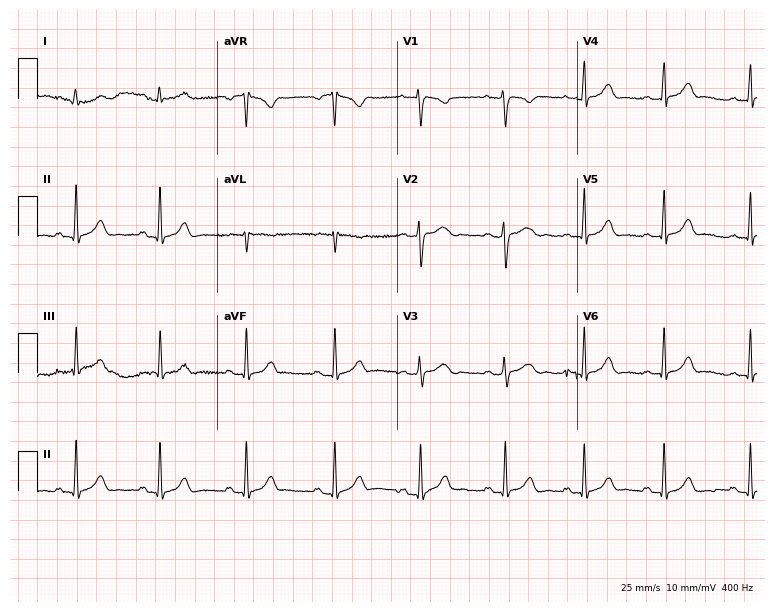
Electrocardiogram, a 26-year-old woman. Of the six screened findings (first-degree AV block, right bundle branch block (RBBB), left bundle branch block (LBBB), sinus bradycardia, atrial fibrillation (AF), sinus tachycardia), none is recorded.